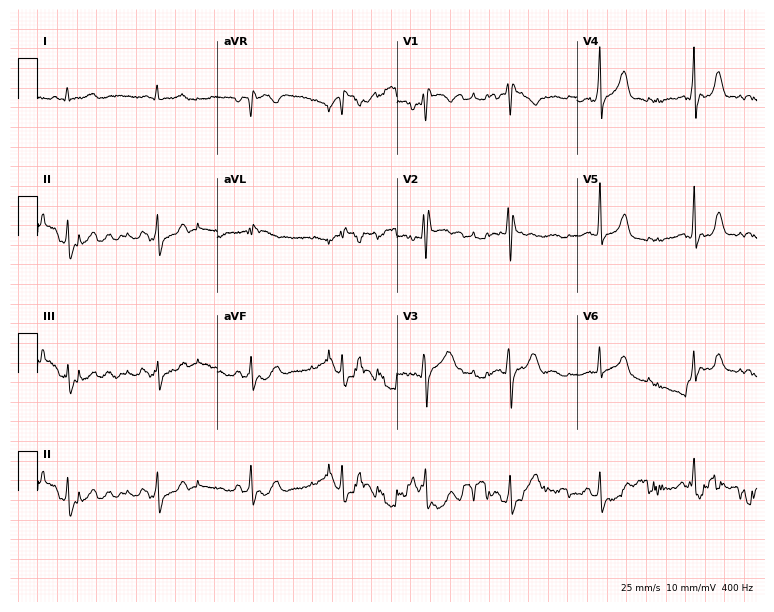
12-lead ECG from a male, 35 years old. Screened for six findings — first-degree AV block, right bundle branch block, left bundle branch block, sinus bradycardia, atrial fibrillation, sinus tachycardia — none is recorded.